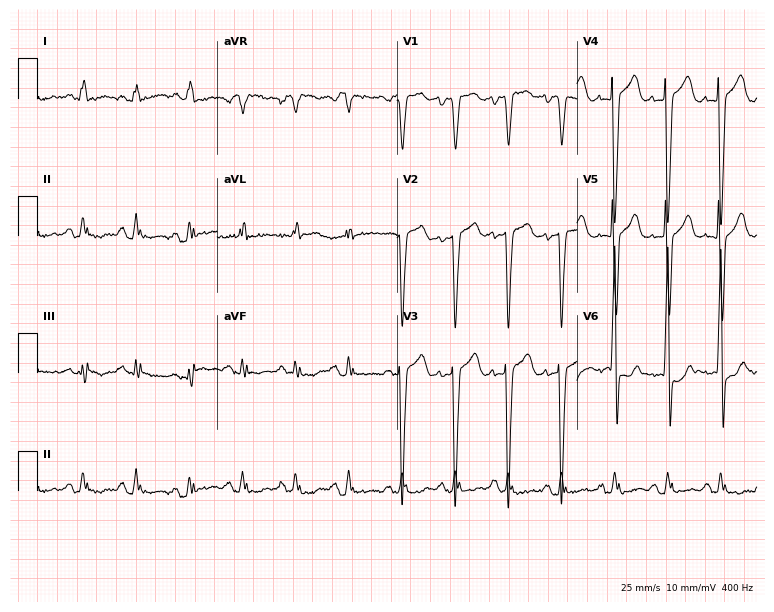
12-lead ECG from a 50-year-old male patient. Findings include sinus tachycardia (a sinus rate of 100 beats per minute or more).